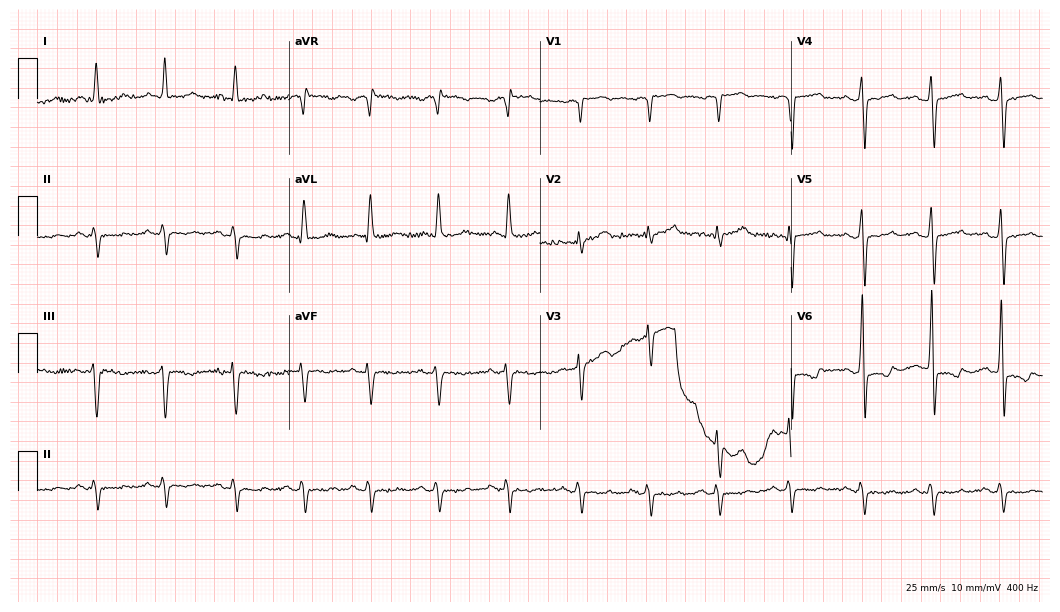
Electrocardiogram, a 66-year-old male patient. Of the six screened findings (first-degree AV block, right bundle branch block (RBBB), left bundle branch block (LBBB), sinus bradycardia, atrial fibrillation (AF), sinus tachycardia), none is recorded.